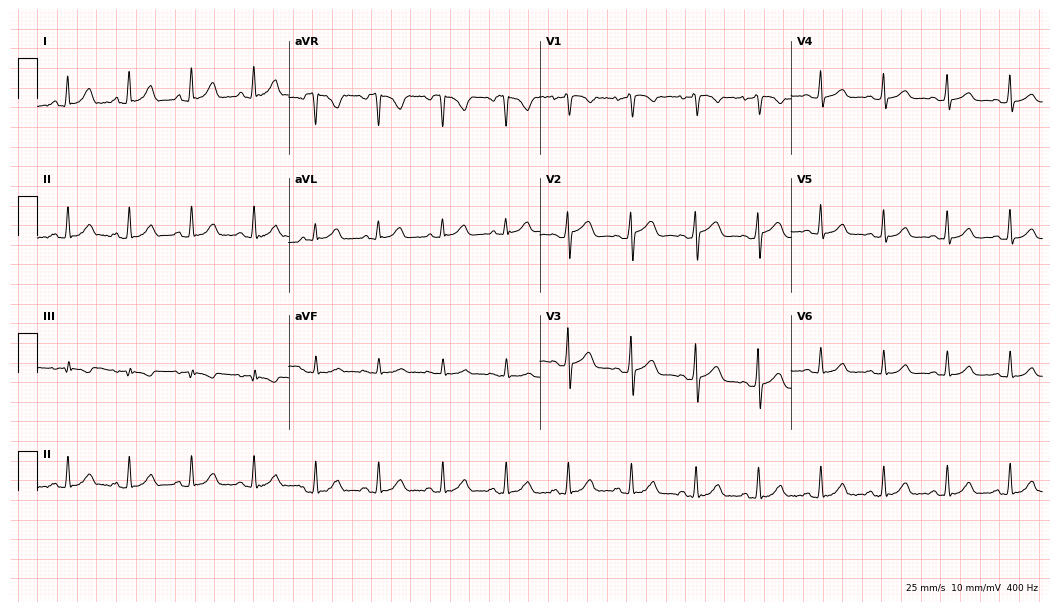
ECG (10.2-second recording at 400 Hz) — a female, 61 years old. Screened for six findings — first-degree AV block, right bundle branch block, left bundle branch block, sinus bradycardia, atrial fibrillation, sinus tachycardia — none is recorded. Only these six findings were labelled.